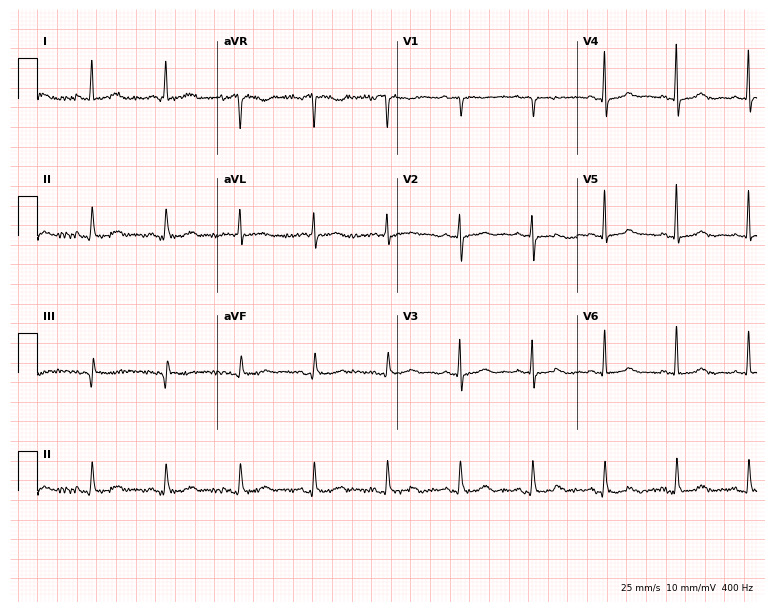
Standard 12-lead ECG recorded from a woman, 72 years old (7.3-second recording at 400 Hz). Read as a normal ECG.